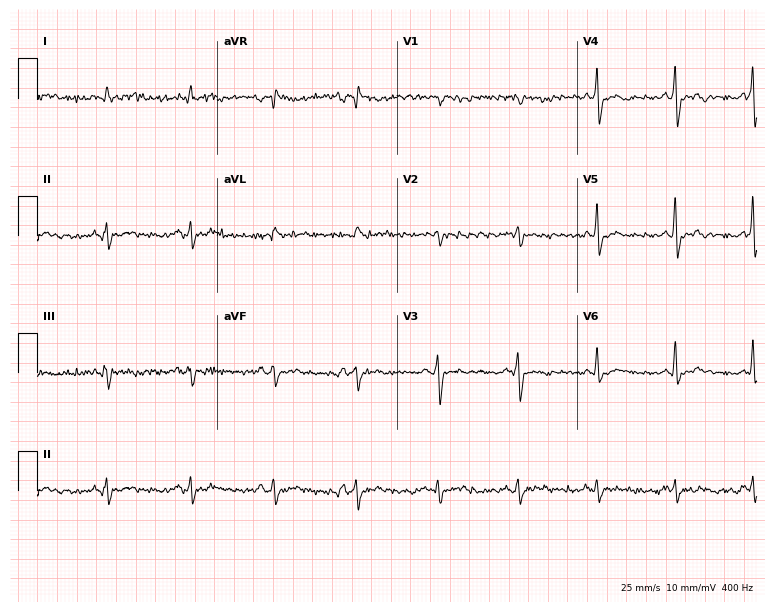
Standard 12-lead ECG recorded from a 37-year-old male (7.3-second recording at 400 Hz). None of these six findings is recorded: first-degree AV block, right bundle branch block, left bundle branch block, sinus bradycardia, atrial fibrillation, sinus tachycardia.